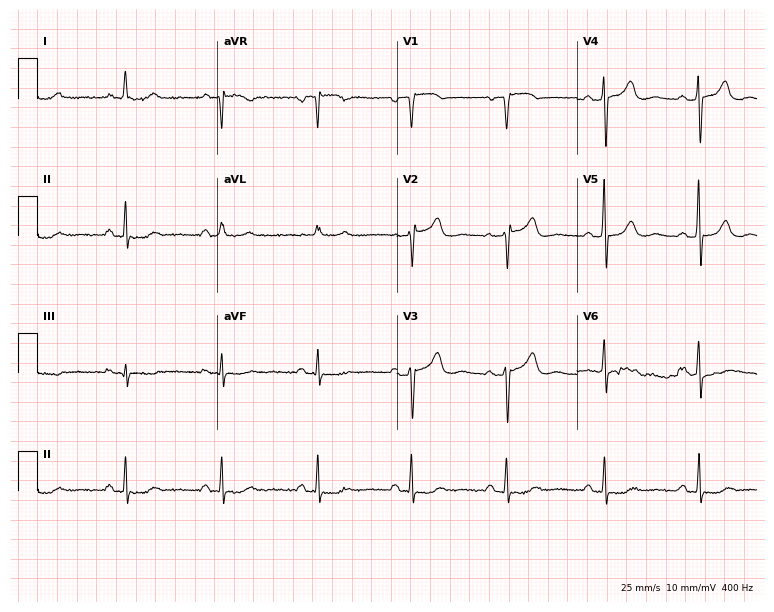
Standard 12-lead ECG recorded from a 57-year-old woman. Read as a normal ECG.